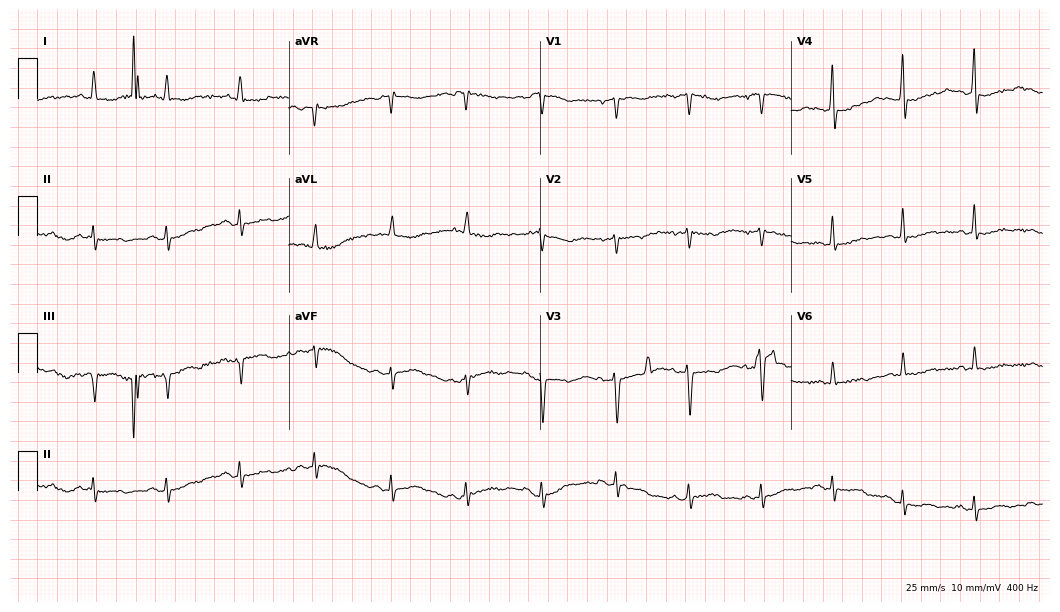
ECG — a 69-year-old woman. Screened for six findings — first-degree AV block, right bundle branch block, left bundle branch block, sinus bradycardia, atrial fibrillation, sinus tachycardia — none is recorded.